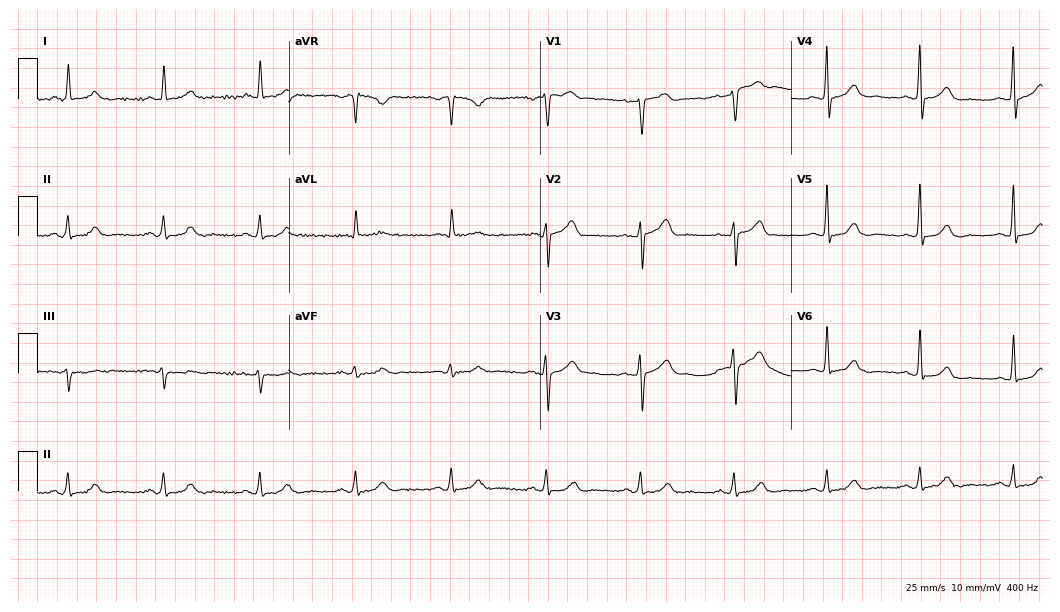
Resting 12-lead electrocardiogram. Patient: a male, 75 years old. Read as a normal ECG.